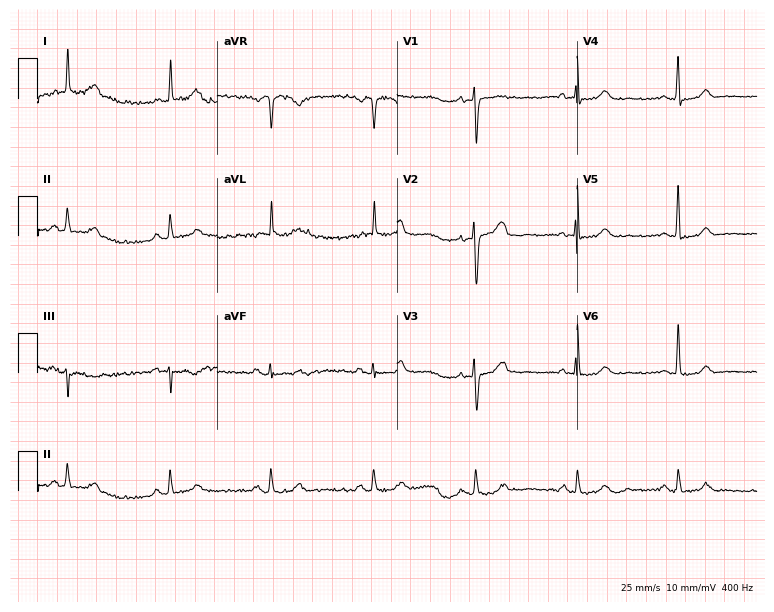
ECG — an 84-year-old female. Labelled as a normal ECG.